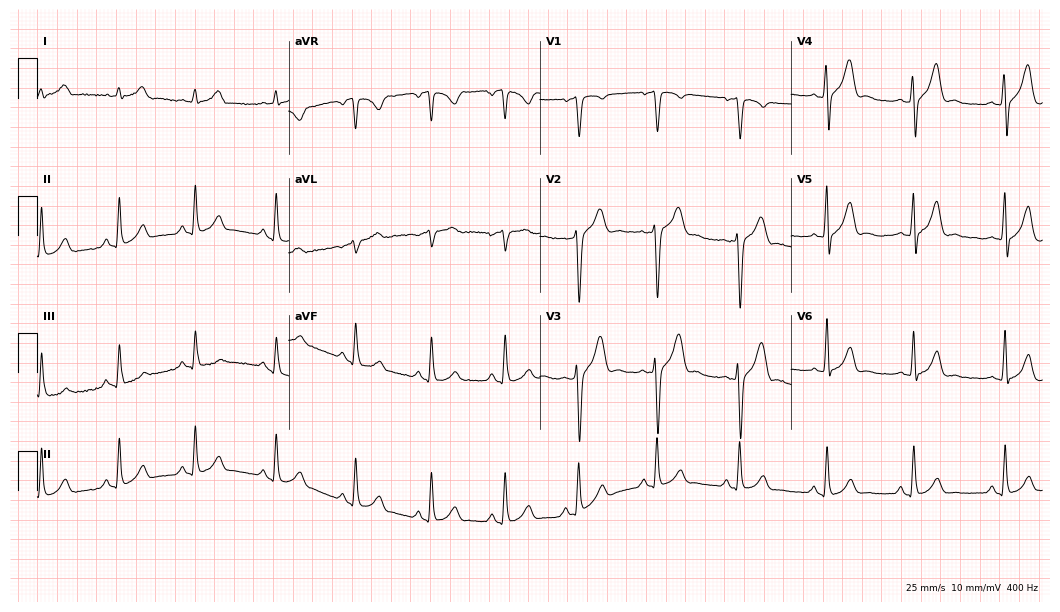
12-lead ECG from a male, 29 years old. Labelled as a normal ECG.